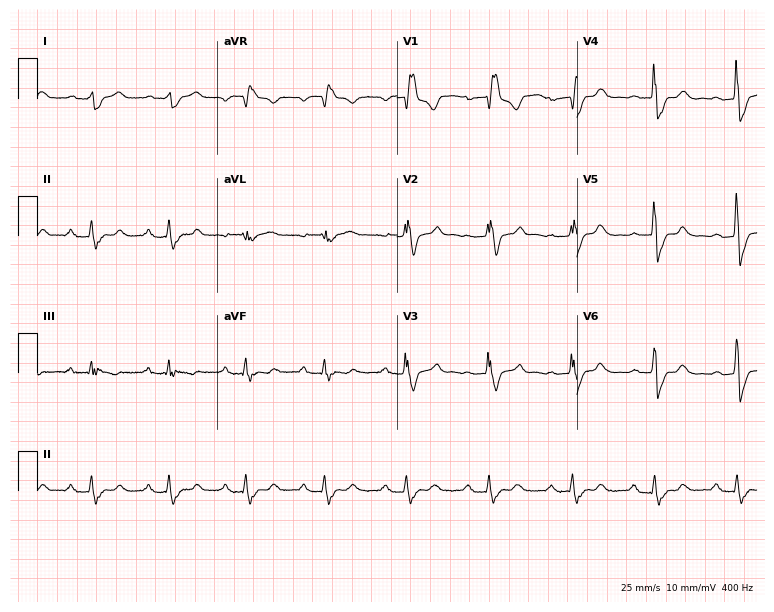
ECG — a man, 68 years old. Findings include right bundle branch block.